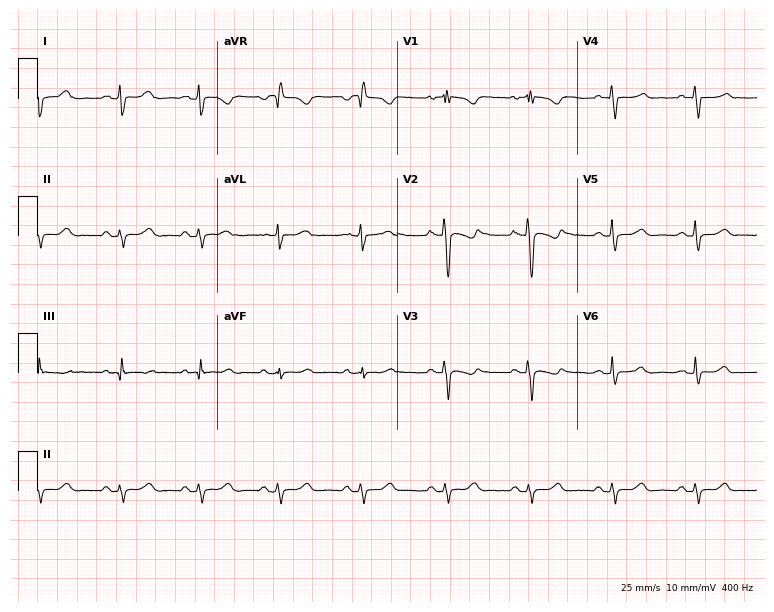
12-lead ECG from a 25-year-old female. Labelled as a normal ECG.